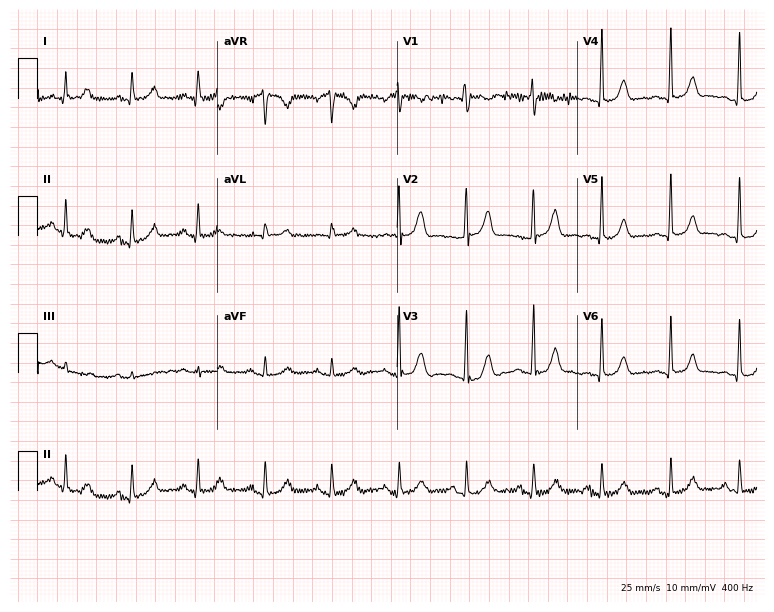
Resting 12-lead electrocardiogram. Patient: a 53-year-old female. Read as a normal ECG.